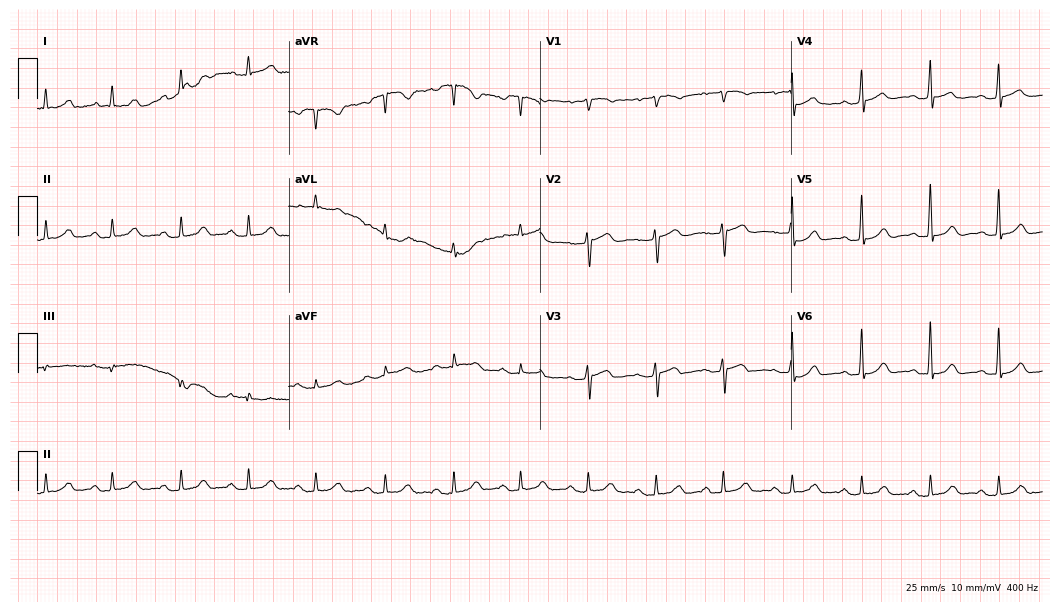
12-lead ECG from a woman, 74 years old (10.2-second recording at 400 Hz). Recorded interpretation: within normal limits.